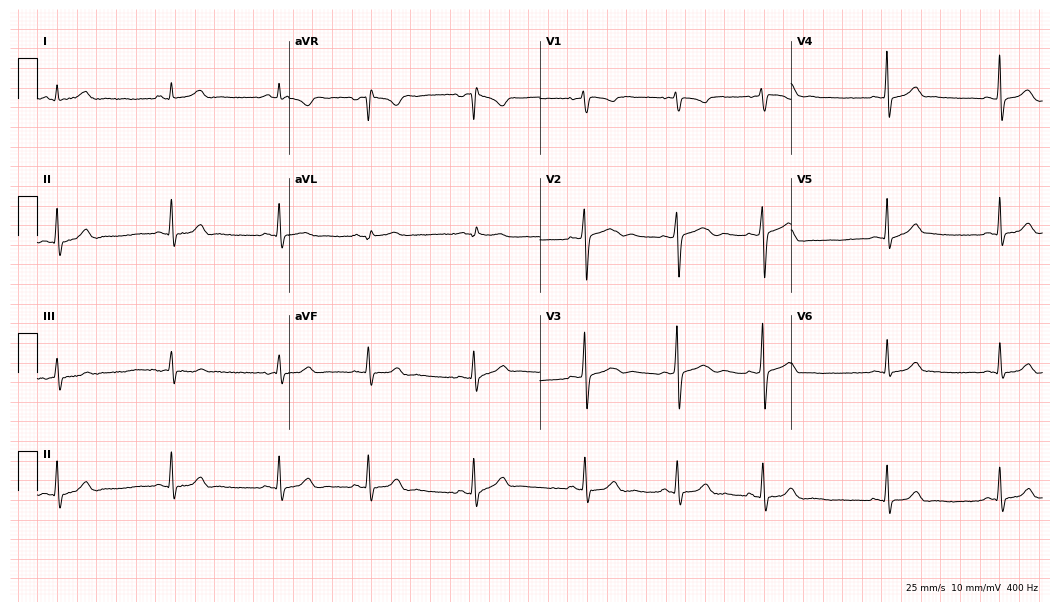
12-lead ECG from a female patient, 26 years old. Recorded interpretation: within normal limits.